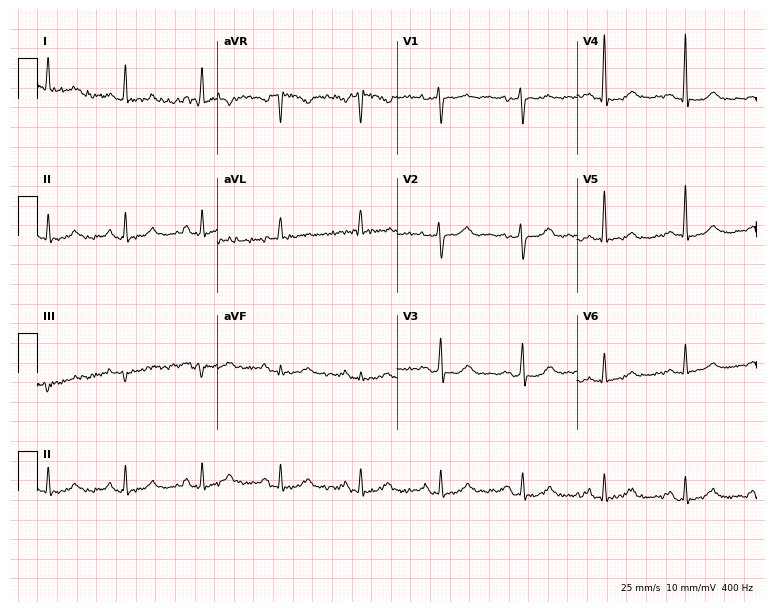
ECG (7.3-second recording at 400 Hz) — a female, 49 years old. Screened for six findings — first-degree AV block, right bundle branch block (RBBB), left bundle branch block (LBBB), sinus bradycardia, atrial fibrillation (AF), sinus tachycardia — none is recorded.